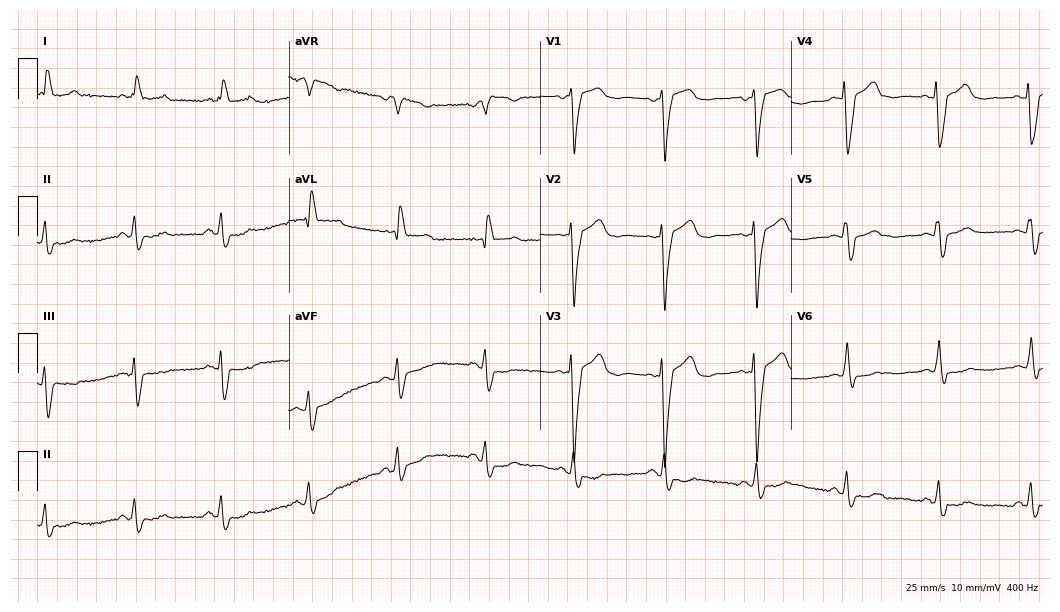
ECG (10.2-second recording at 400 Hz) — a woman, 74 years old. Findings include left bundle branch block (LBBB).